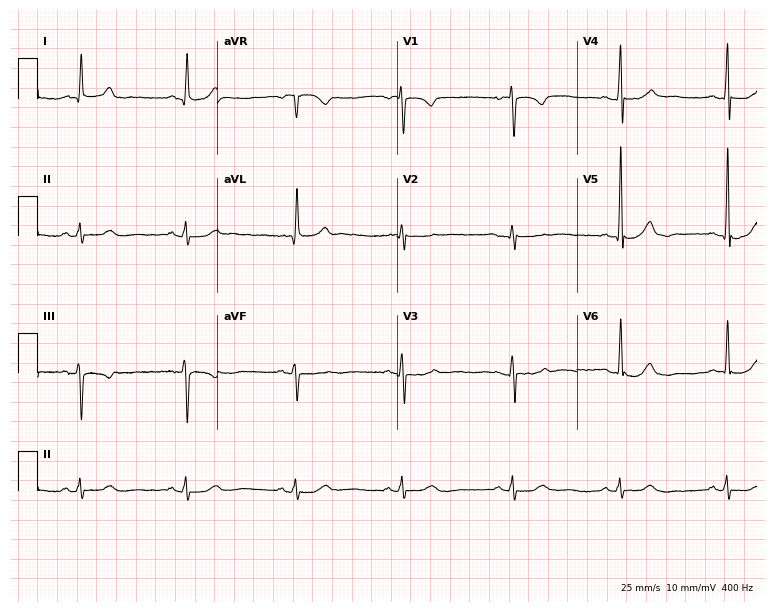
Resting 12-lead electrocardiogram (7.3-second recording at 400 Hz). Patient: a 58-year-old female. None of these six findings is recorded: first-degree AV block, right bundle branch block (RBBB), left bundle branch block (LBBB), sinus bradycardia, atrial fibrillation (AF), sinus tachycardia. Other findings, if any, are not listed.